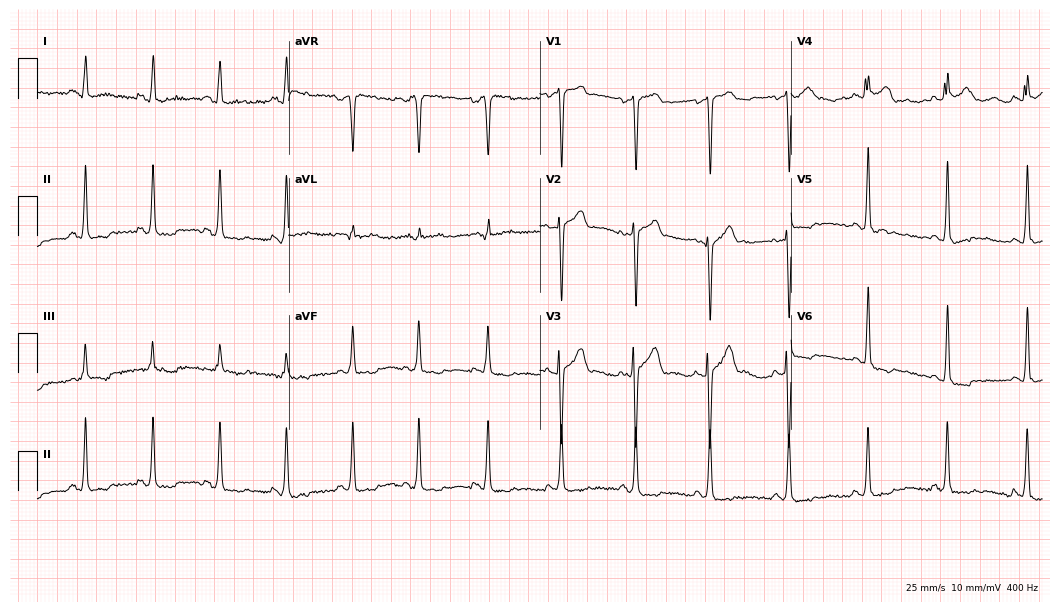
Resting 12-lead electrocardiogram (10.2-second recording at 400 Hz). Patient: a 48-year-old male. None of these six findings is recorded: first-degree AV block, right bundle branch block, left bundle branch block, sinus bradycardia, atrial fibrillation, sinus tachycardia.